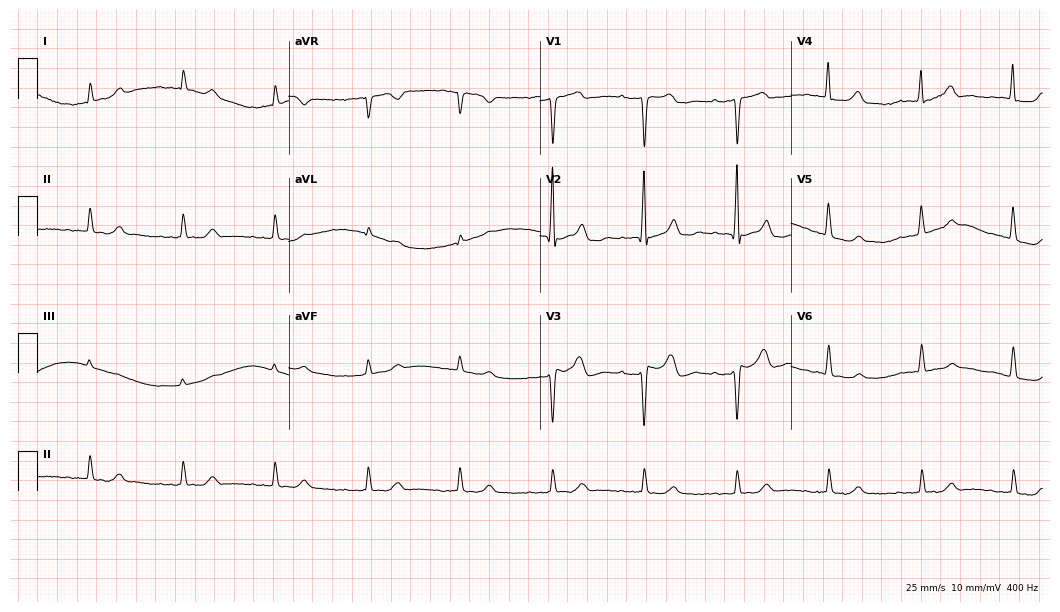
Standard 12-lead ECG recorded from a male patient, 83 years old (10.2-second recording at 400 Hz). None of these six findings is recorded: first-degree AV block, right bundle branch block (RBBB), left bundle branch block (LBBB), sinus bradycardia, atrial fibrillation (AF), sinus tachycardia.